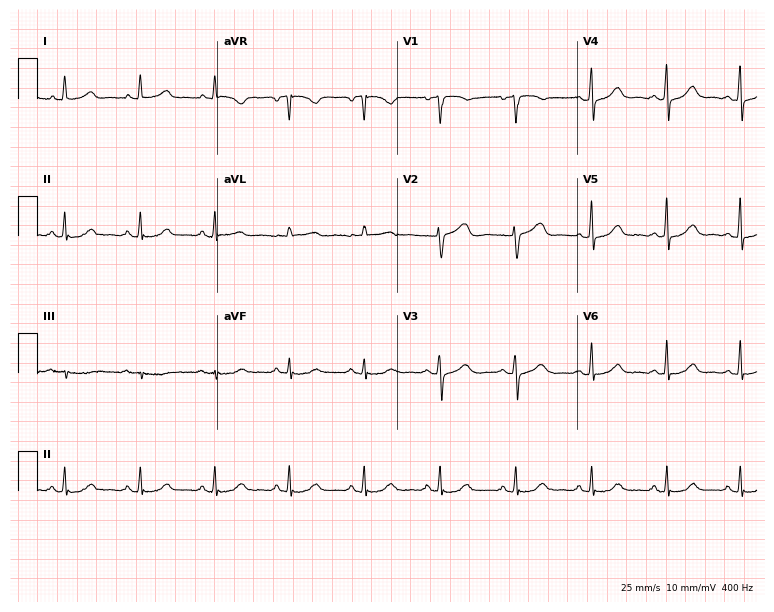
Resting 12-lead electrocardiogram. Patient: a female, 57 years old. Read as a normal ECG.